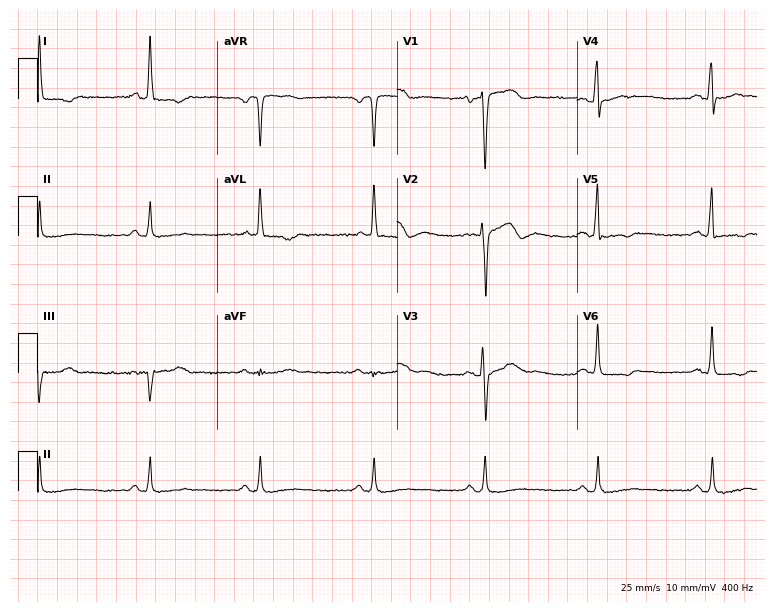
12-lead ECG from a male, 57 years old (7.3-second recording at 400 Hz). No first-degree AV block, right bundle branch block (RBBB), left bundle branch block (LBBB), sinus bradycardia, atrial fibrillation (AF) or sinus tachycardia recorded for this tracing. Other findings, if any, are not listed.